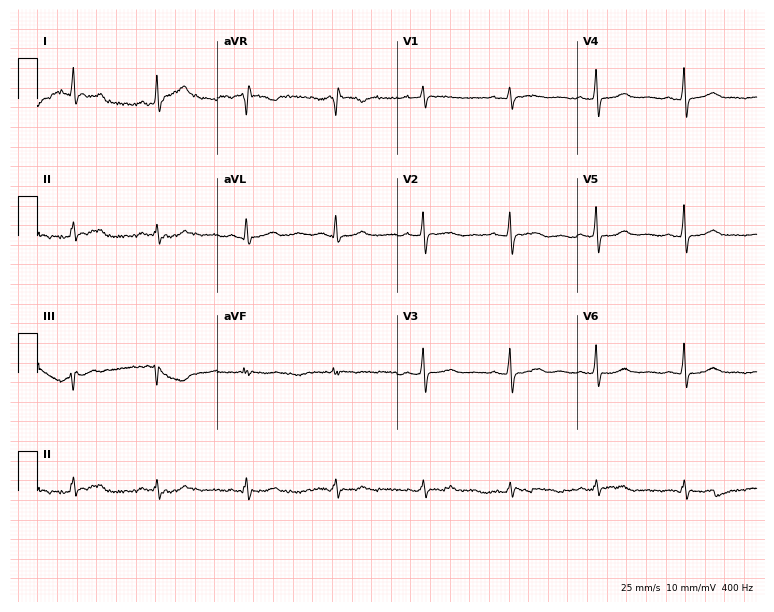
12-lead ECG from a 53-year-old female patient. Recorded interpretation: within normal limits.